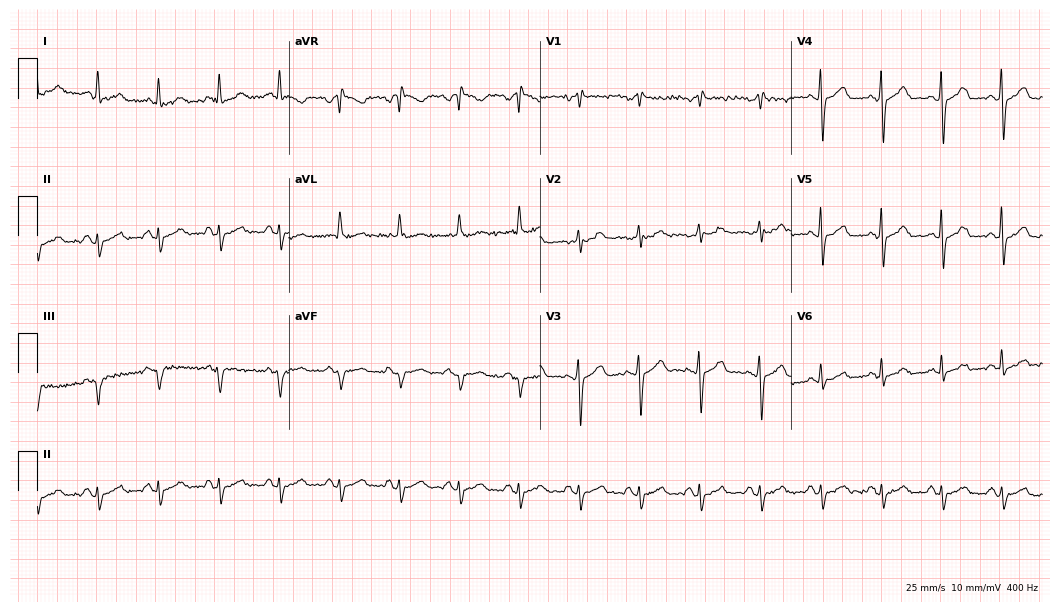
Electrocardiogram, a female, 52 years old. Of the six screened findings (first-degree AV block, right bundle branch block (RBBB), left bundle branch block (LBBB), sinus bradycardia, atrial fibrillation (AF), sinus tachycardia), none is recorded. Findings outside these six are not listed.